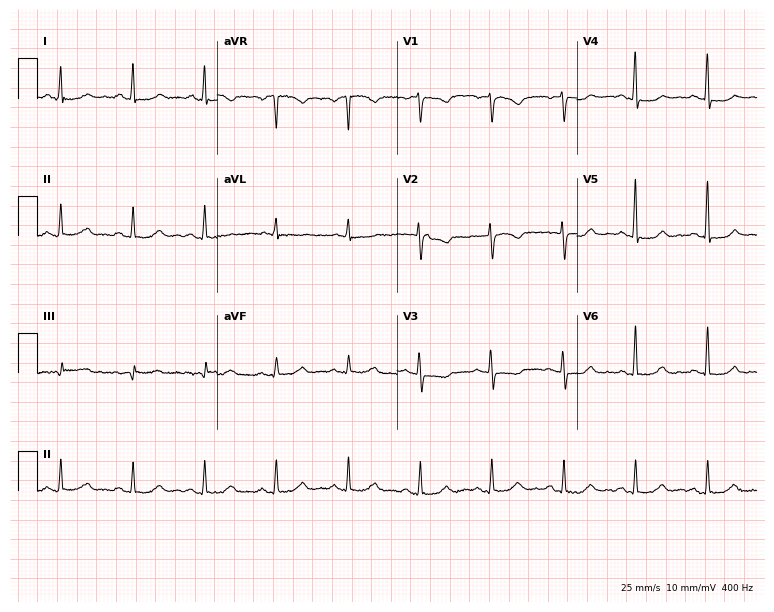
Electrocardiogram (7.3-second recording at 400 Hz), a woman, 71 years old. Of the six screened findings (first-degree AV block, right bundle branch block, left bundle branch block, sinus bradycardia, atrial fibrillation, sinus tachycardia), none is recorded. Findings outside these six are not listed.